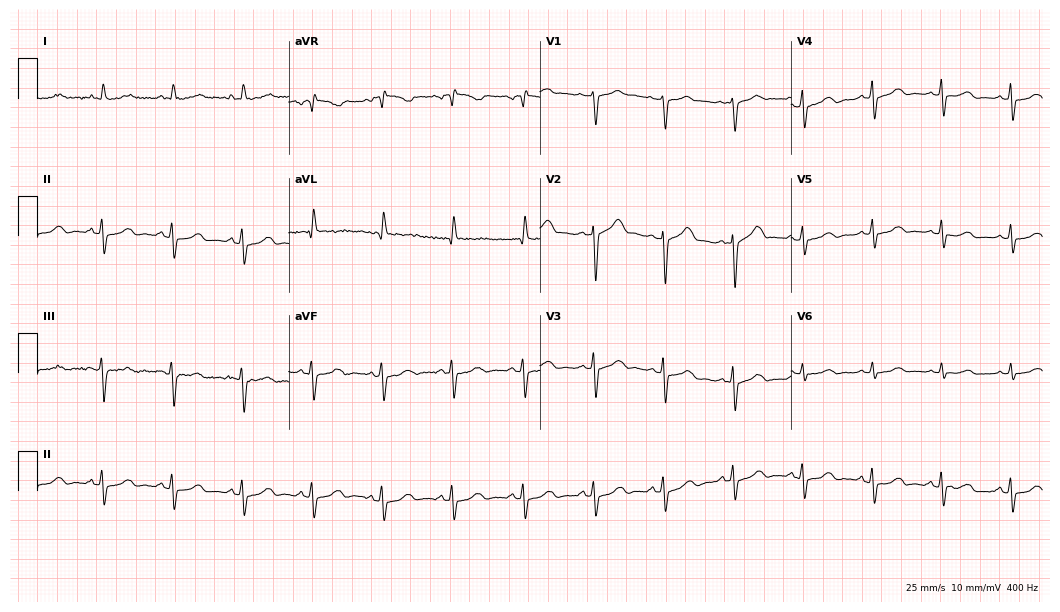
Standard 12-lead ECG recorded from a 65-year-old woman. None of these six findings is recorded: first-degree AV block, right bundle branch block, left bundle branch block, sinus bradycardia, atrial fibrillation, sinus tachycardia.